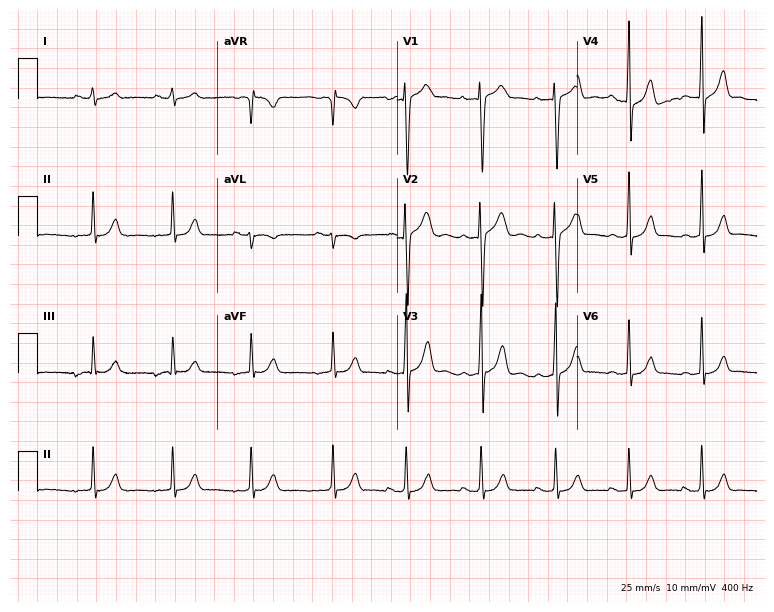
Standard 12-lead ECG recorded from a male patient, 18 years old (7.3-second recording at 400 Hz). None of these six findings is recorded: first-degree AV block, right bundle branch block, left bundle branch block, sinus bradycardia, atrial fibrillation, sinus tachycardia.